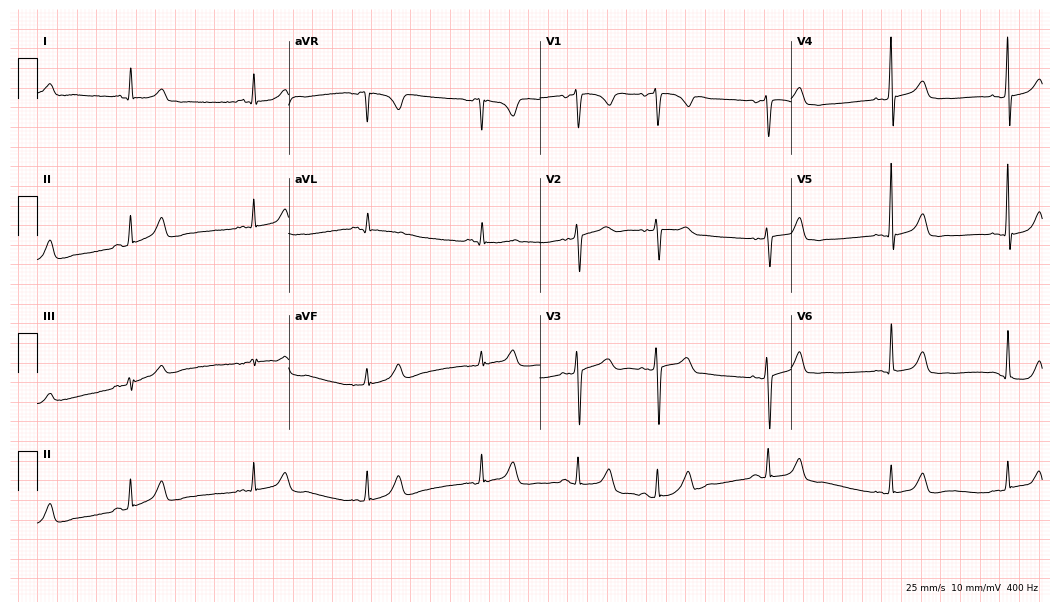
12-lead ECG from a woman, 51 years old (10.2-second recording at 400 Hz). No first-degree AV block, right bundle branch block, left bundle branch block, sinus bradycardia, atrial fibrillation or sinus tachycardia recorded for this tracing.